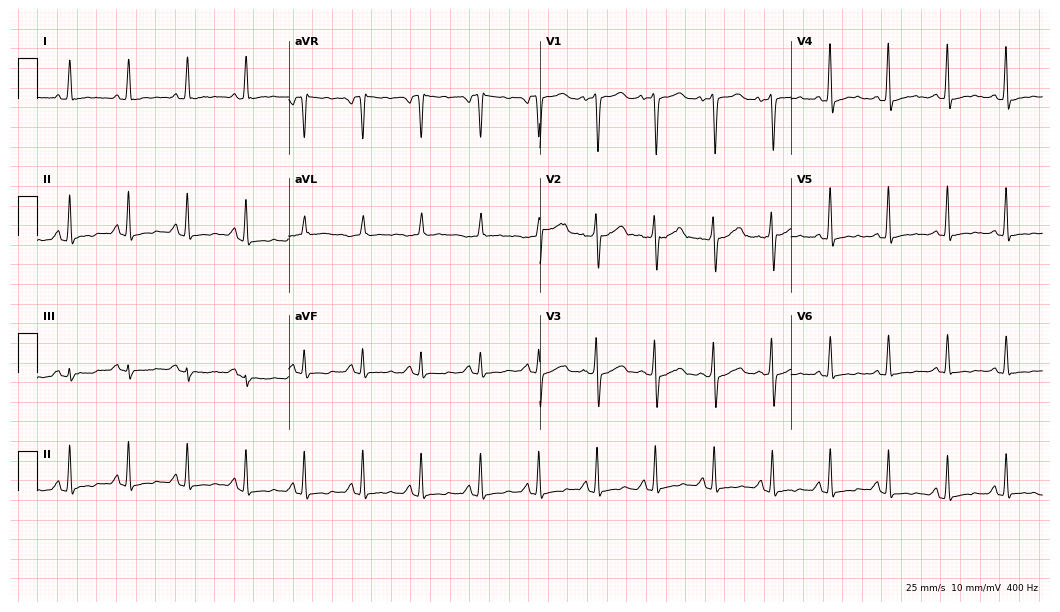
Resting 12-lead electrocardiogram. Patient: a female, 44 years old. The tracing shows sinus tachycardia (a sinus rate of 100 beats per minute or more).